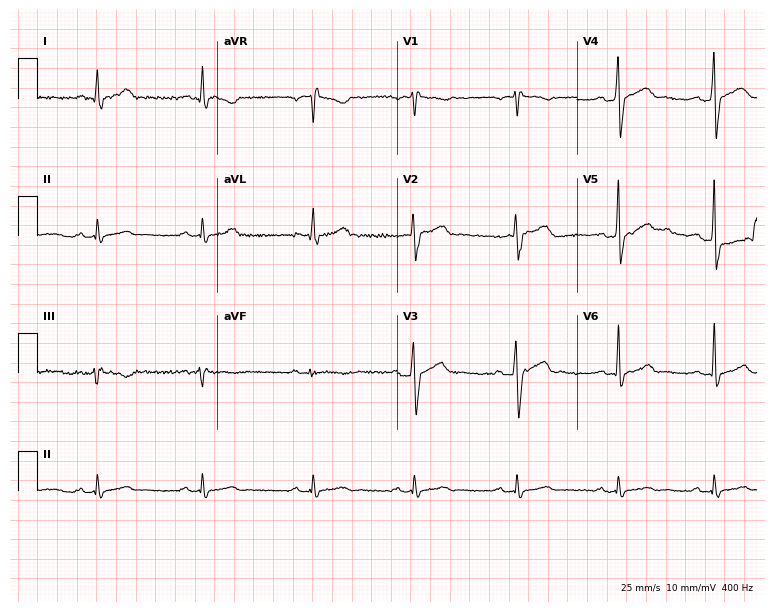
12-lead ECG from a male, 41 years old (7.3-second recording at 400 Hz). No first-degree AV block, right bundle branch block (RBBB), left bundle branch block (LBBB), sinus bradycardia, atrial fibrillation (AF) or sinus tachycardia recorded for this tracing.